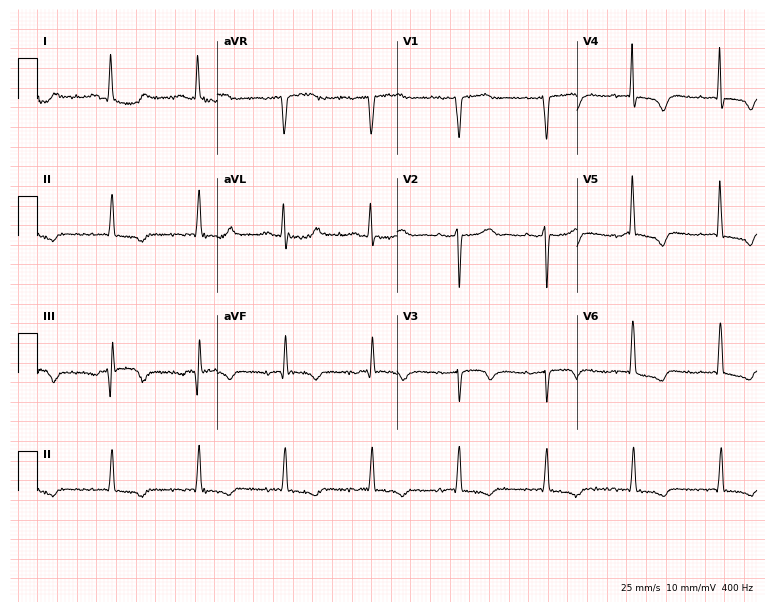
Resting 12-lead electrocardiogram (7.3-second recording at 400 Hz). Patient: a female, 80 years old. None of these six findings is recorded: first-degree AV block, right bundle branch block, left bundle branch block, sinus bradycardia, atrial fibrillation, sinus tachycardia.